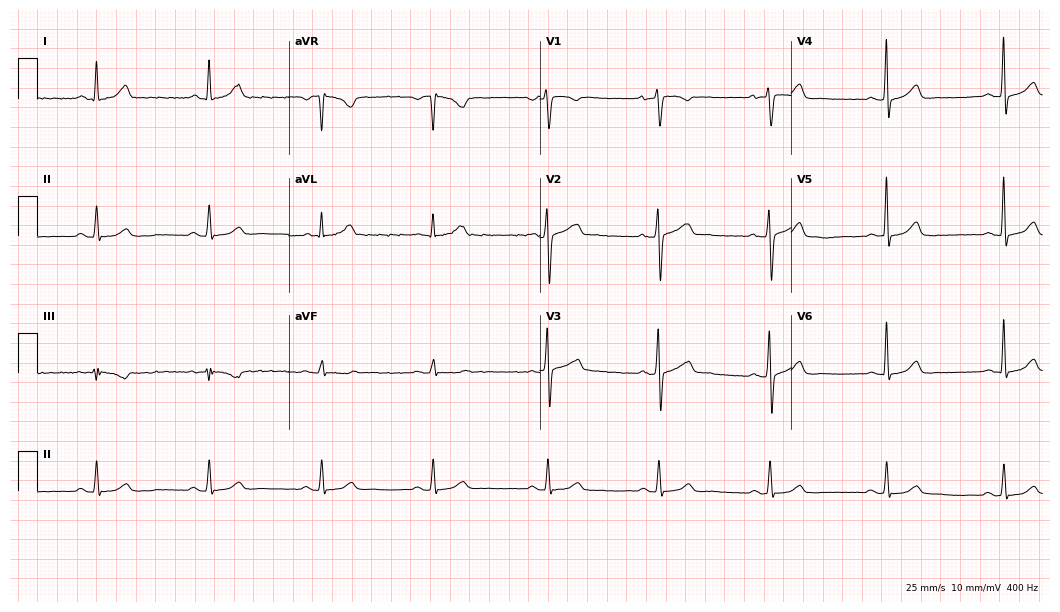
Resting 12-lead electrocardiogram. Patient: a 48-year-old woman. Read as a normal ECG.